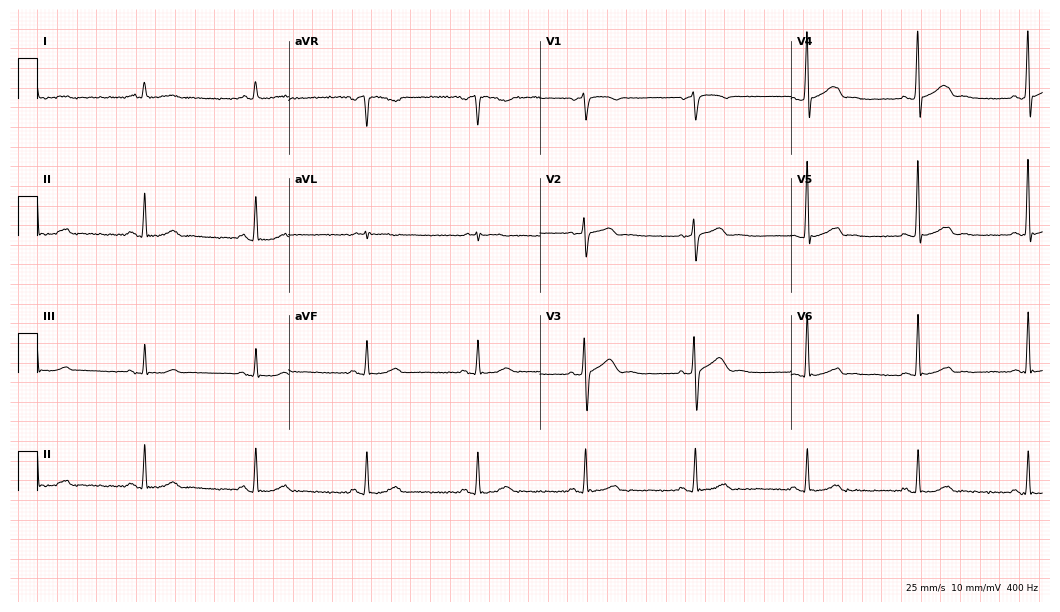
Standard 12-lead ECG recorded from a 49-year-old male (10.2-second recording at 400 Hz). Read as a normal ECG.